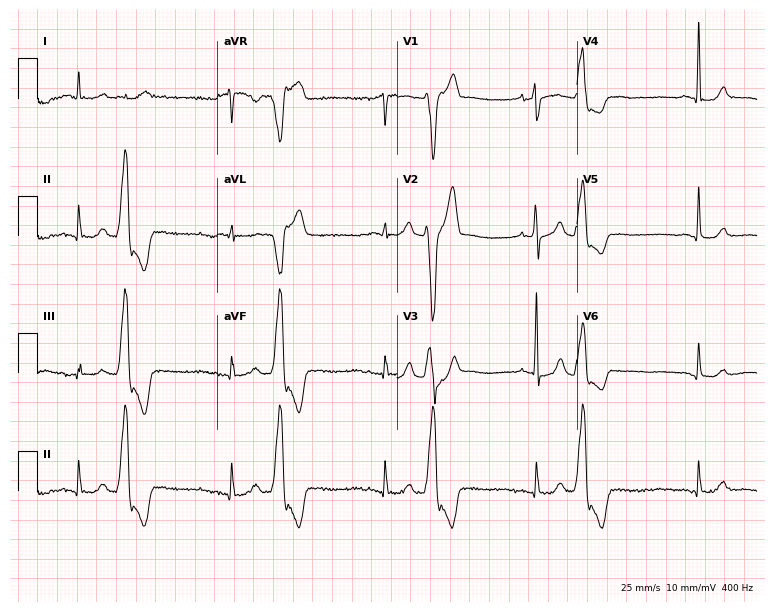
Standard 12-lead ECG recorded from a female, 79 years old. None of these six findings is recorded: first-degree AV block, right bundle branch block (RBBB), left bundle branch block (LBBB), sinus bradycardia, atrial fibrillation (AF), sinus tachycardia.